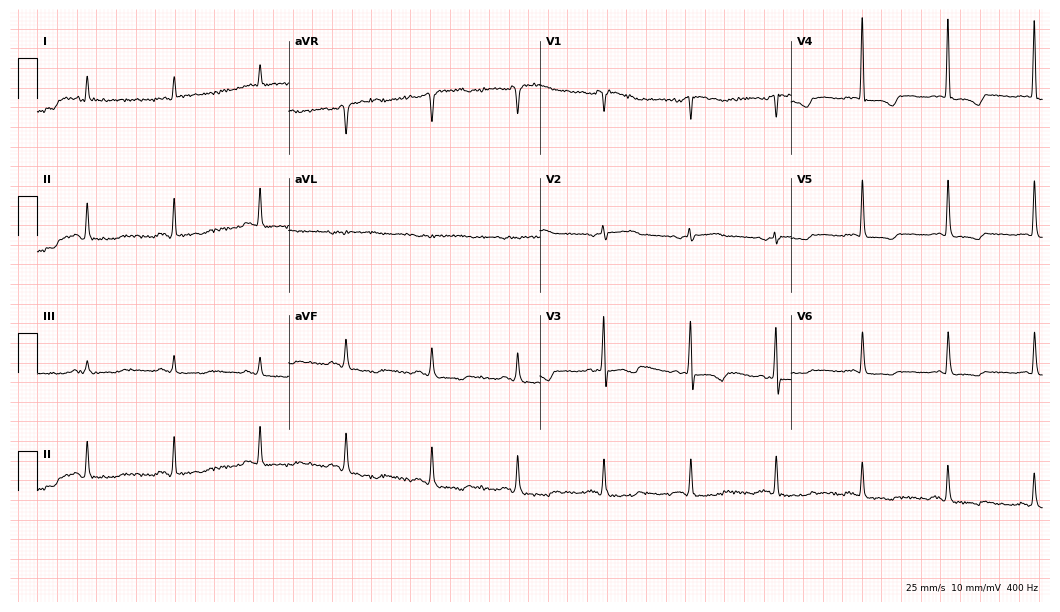
ECG — a woman, 82 years old. Screened for six findings — first-degree AV block, right bundle branch block (RBBB), left bundle branch block (LBBB), sinus bradycardia, atrial fibrillation (AF), sinus tachycardia — none is recorded. Other findings, if any, are not listed.